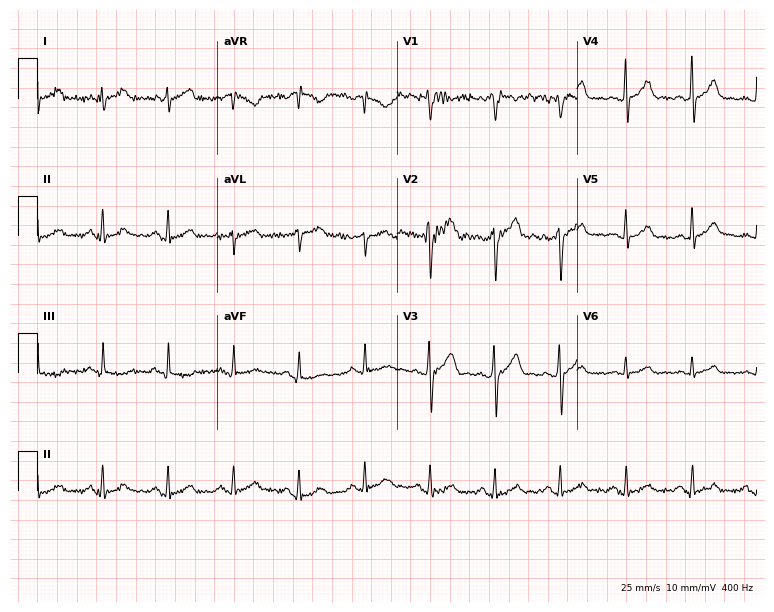
12-lead ECG from a male patient, 60 years old. Recorded interpretation: within normal limits.